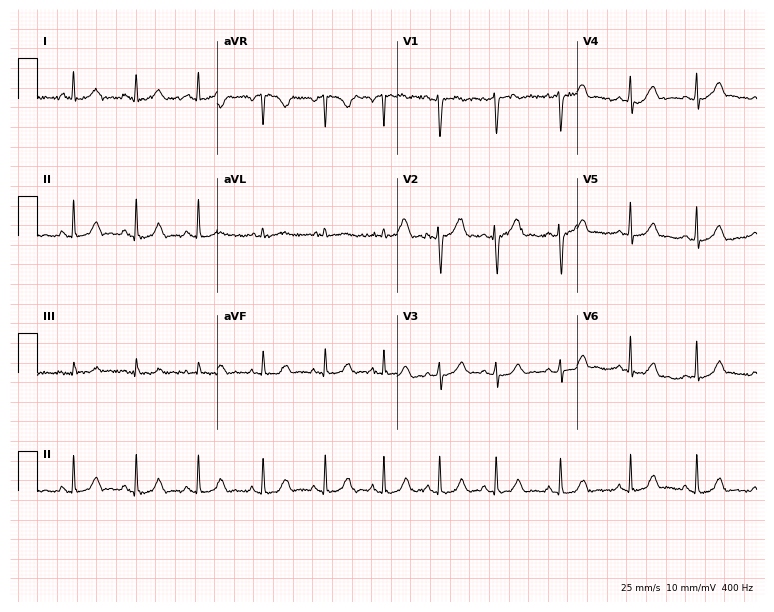
12-lead ECG from a female, 45 years old. Labelled as a normal ECG.